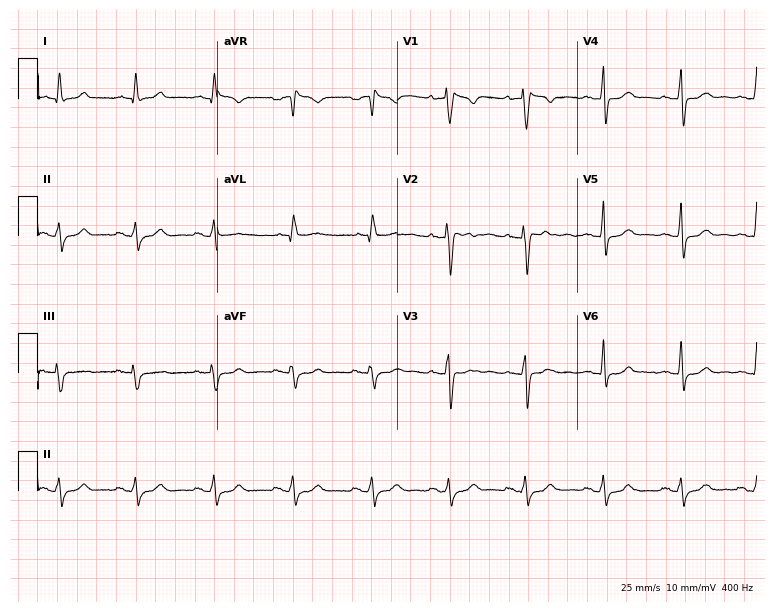
12-lead ECG from a 56-year-old male patient (7.3-second recording at 400 Hz). Recorded interpretation: within normal limits.